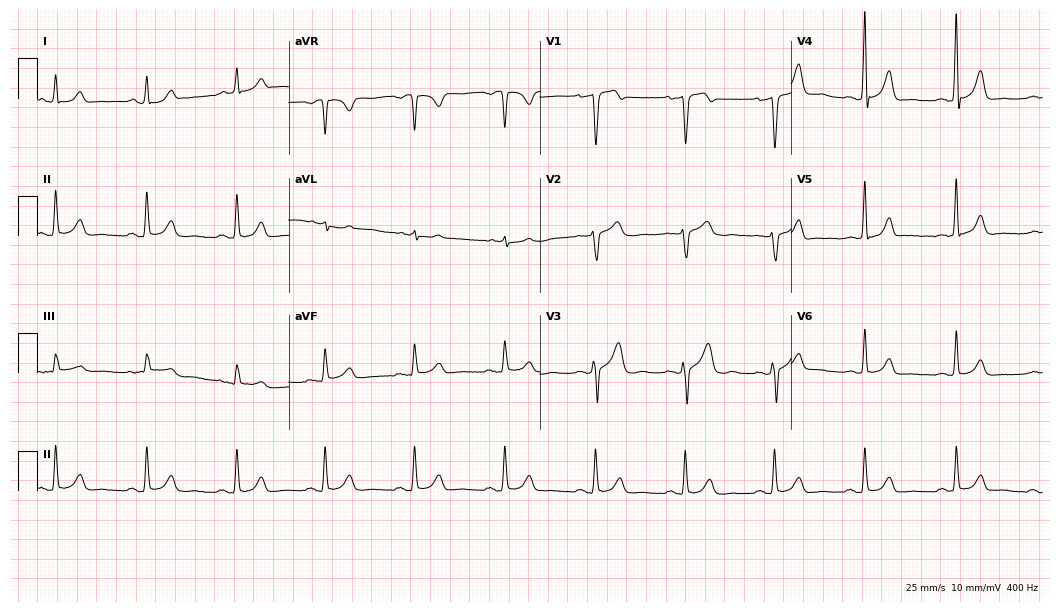
Electrocardiogram, a male, 53 years old. Overall reading on record: normal ECG.